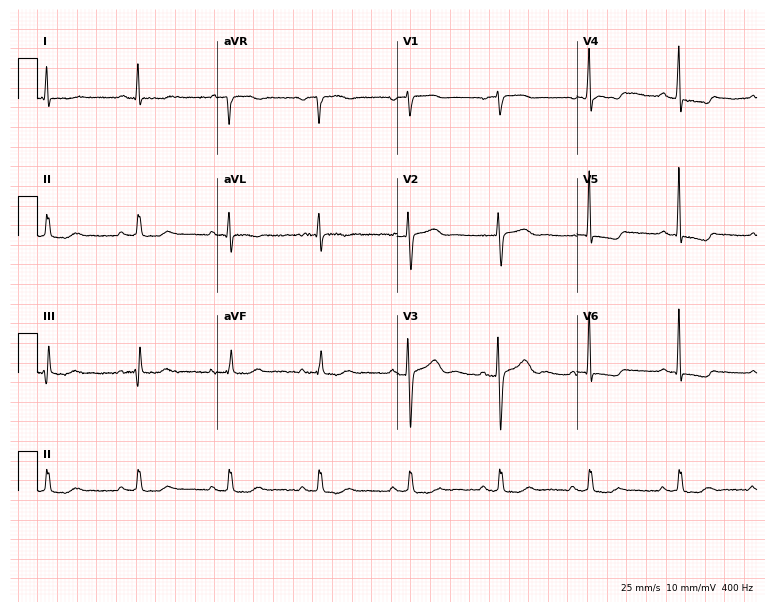
ECG (7.3-second recording at 400 Hz) — a female patient, 76 years old. Screened for six findings — first-degree AV block, right bundle branch block (RBBB), left bundle branch block (LBBB), sinus bradycardia, atrial fibrillation (AF), sinus tachycardia — none is recorded. Only these six findings were labelled.